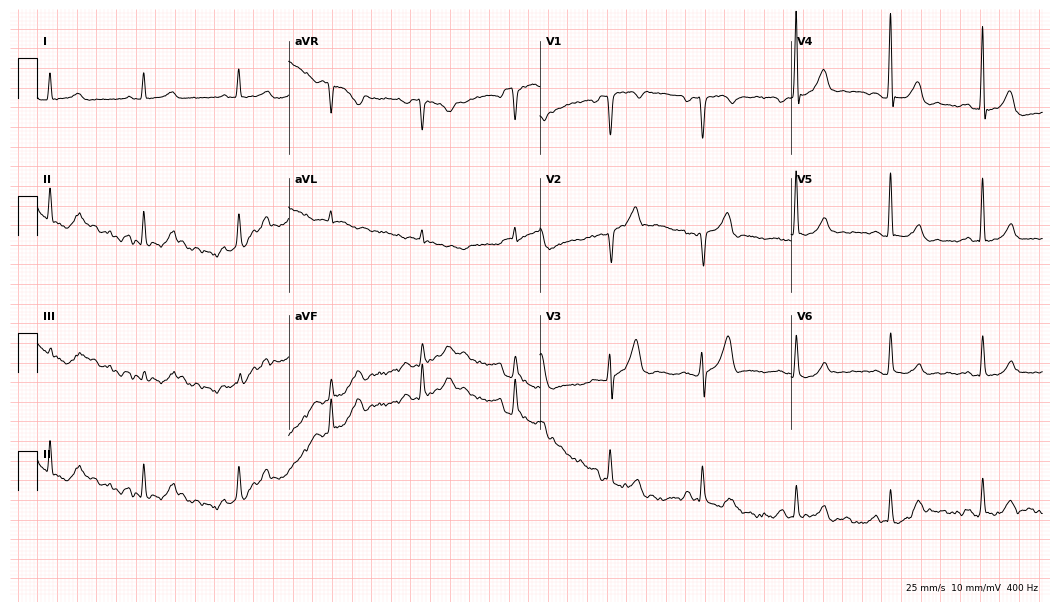
Resting 12-lead electrocardiogram. Patient: a male, 56 years old. None of these six findings is recorded: first-degree AV block, right bundle branch block, left bundle branch block, sinus bradycardia, atrial fibrillation, sinus tachycardia. Other findings, if any, are not listed.